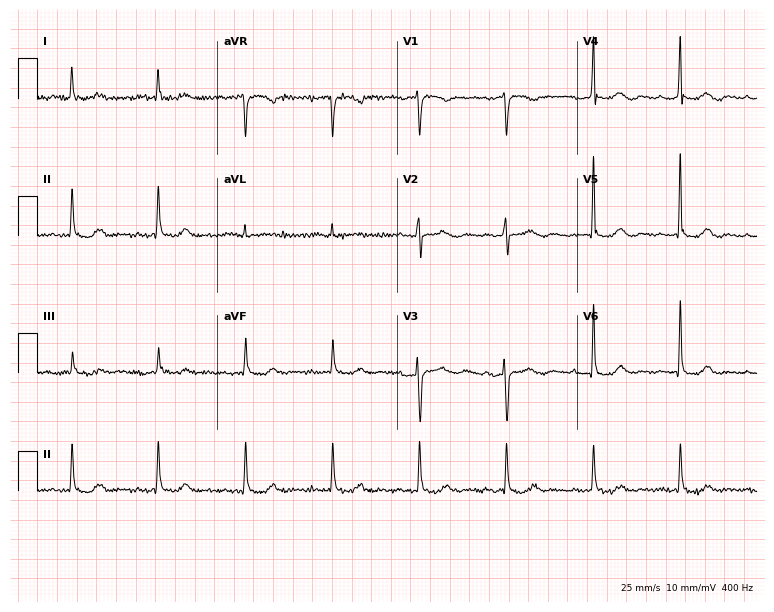
Resting 12-lead electrocardiogram. Patient: a female, 60 years old. None of these six findings is recorded: first-degree AV block, right bundle branch block, left bundle branch block, sinus bradycardia, atrial fibrillation, sinus tachycardia.